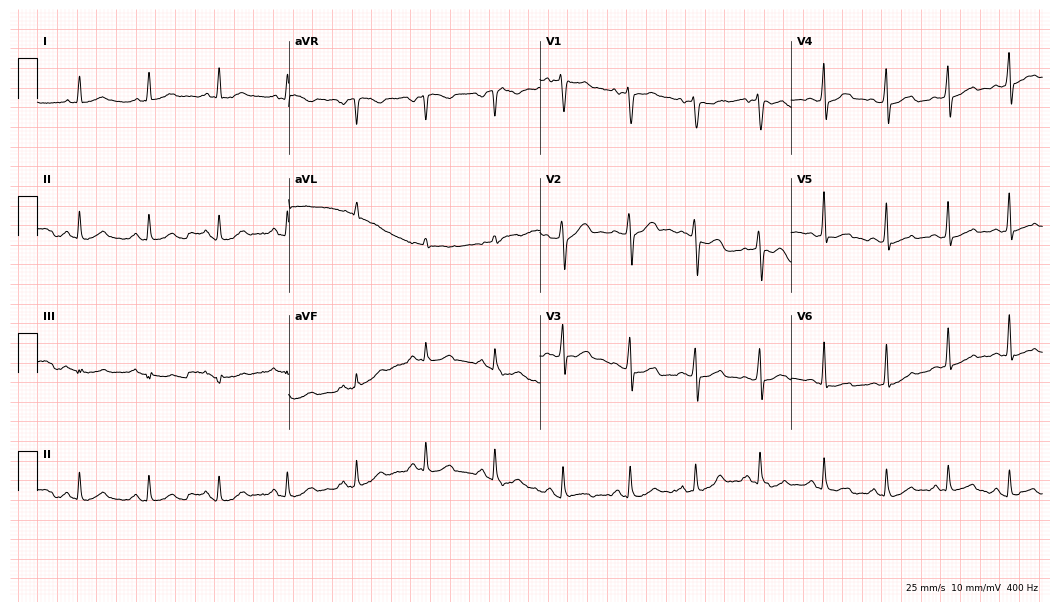
Standard 12-lead ECG recorded from a man, 45 years old. Read as a normal ECG.